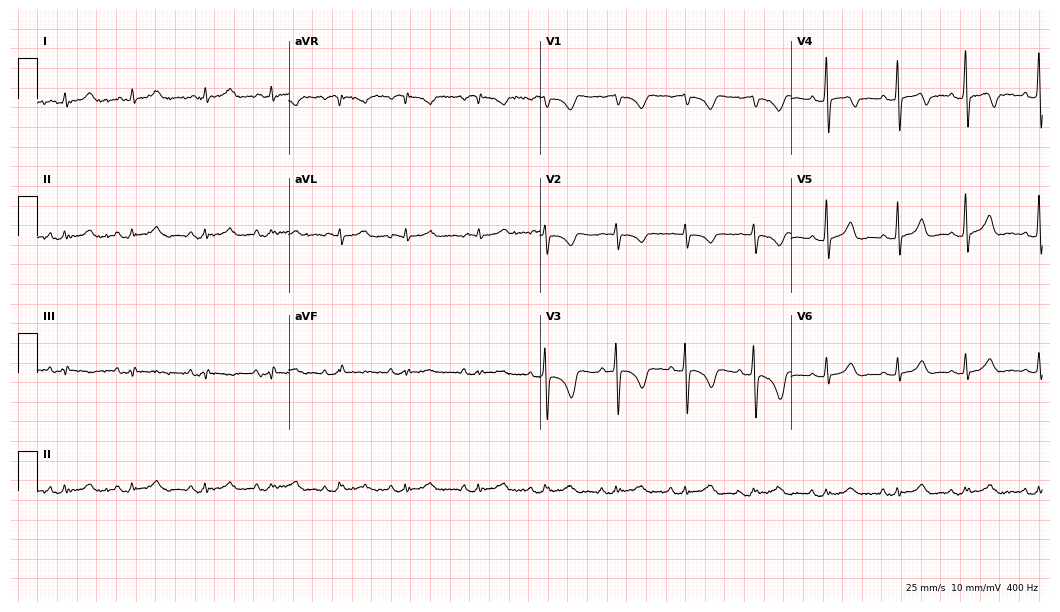
Resting 12-lead electrocardiogram (10.2-second recording at 400 Hz). Patient: a 75-year-old woman. None of these six findings is recorded: first-degree AV block, right bundle branch block (RBBB), left bundle branch block (LBBB), sinus bradycardia, atrial fibrillation (AF), sinus tachycardia. Only these six findings were labelled.